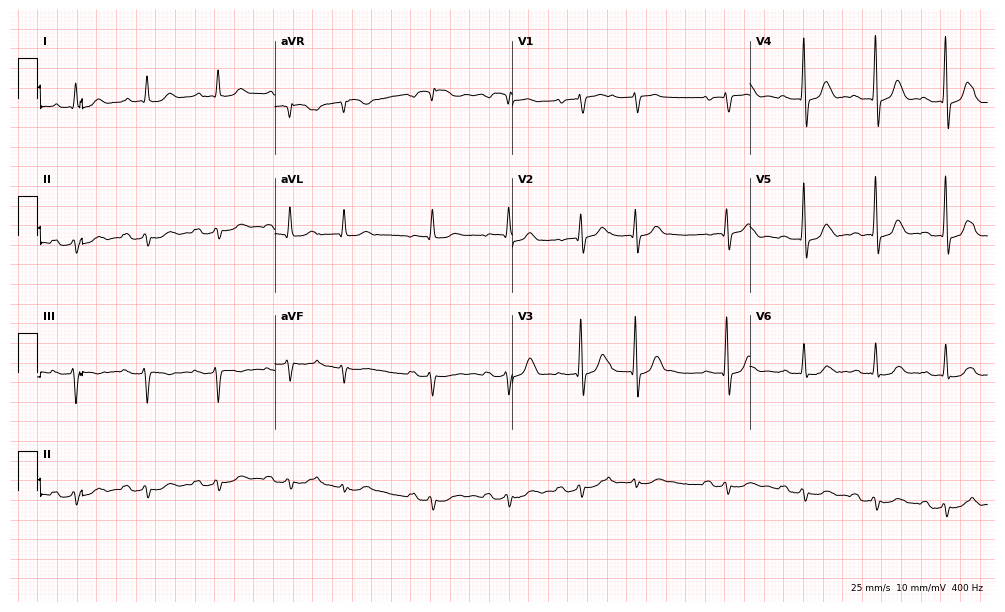
Standard 12-lead ECG recorded from a 66-year-old male patient (9.7-second recording at 400 Hz). The tracing shows first-degree AV block.